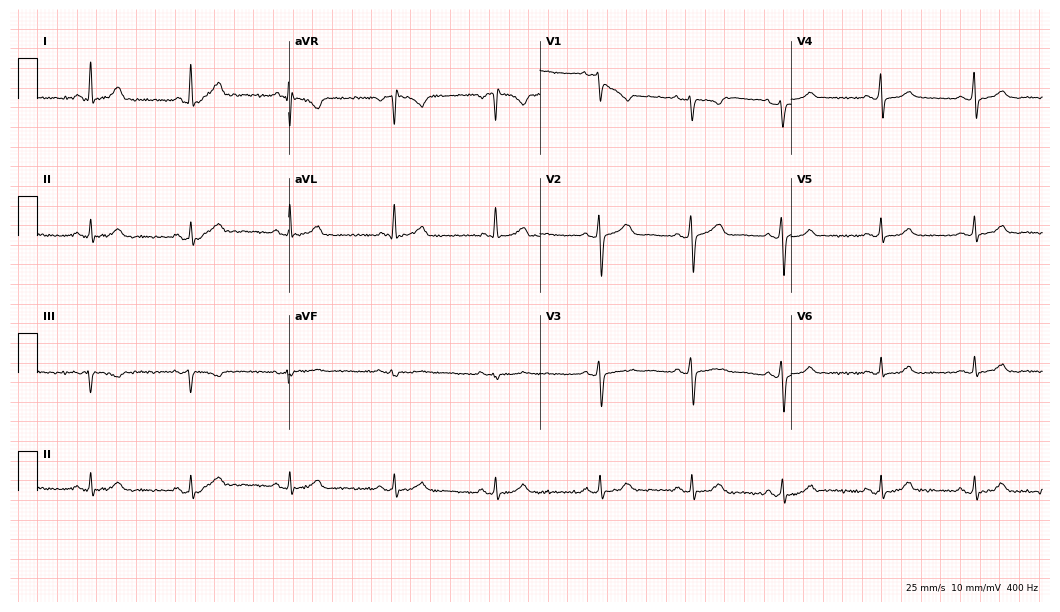
Electrocardiogram (10.2-second recording at 400 Hz), a female, 36 years old. Overall reading on record: normal ECG.